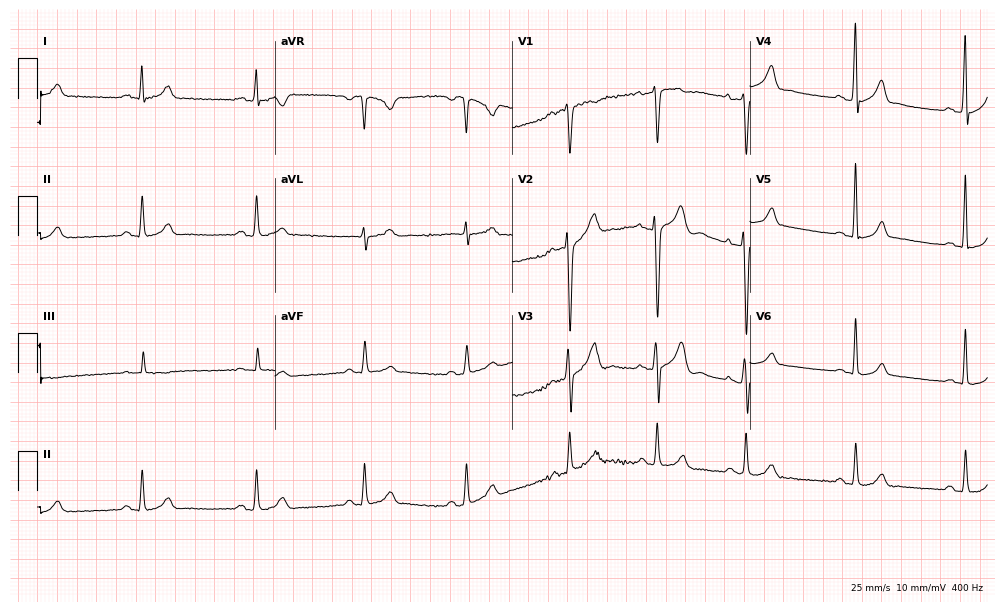
Resting 12-lead electrocardiogram. Patient: a 35-year-old male. Read as a normal ECG.